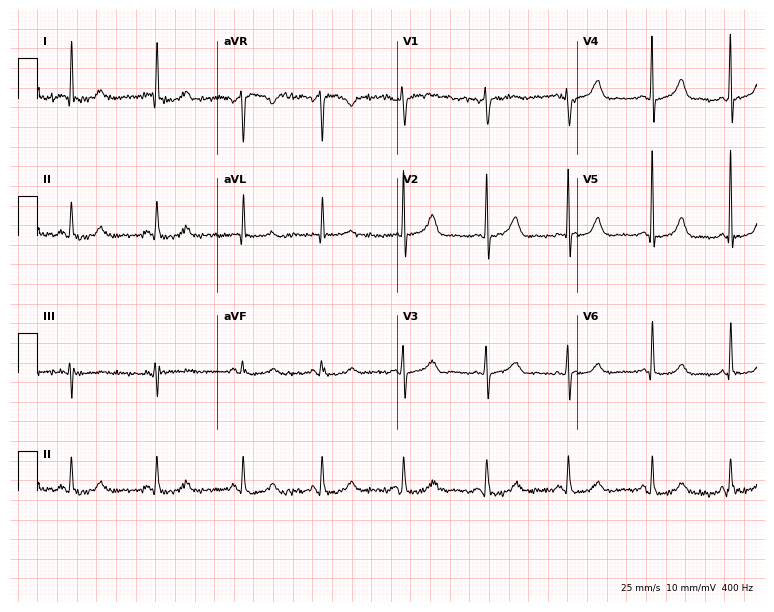
12-lead ECG from a female patient, 62 years old. Labelled as a normal ECG.